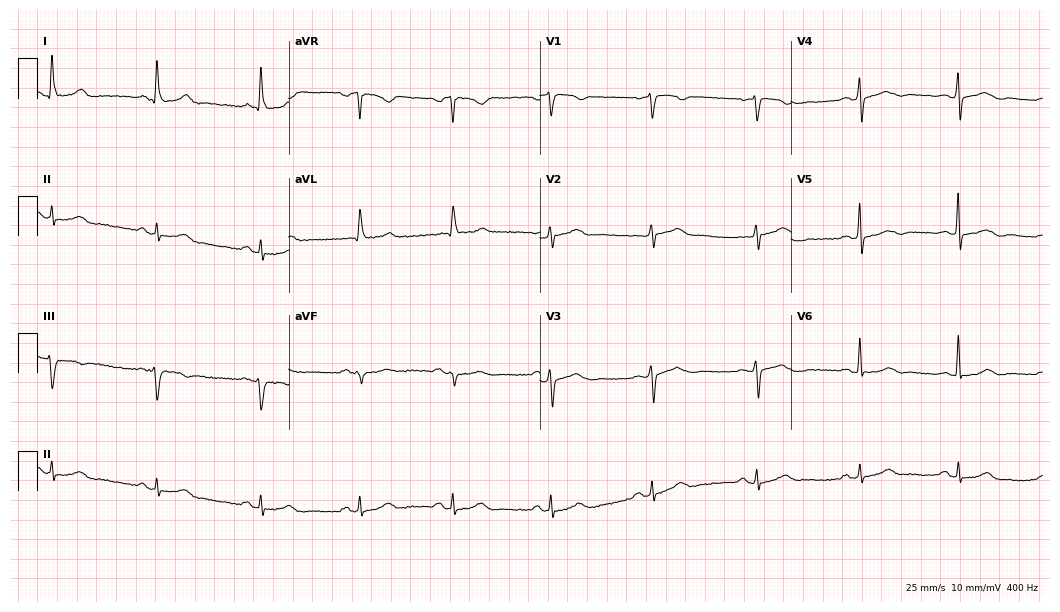
Electrocardiogram, a female patient, 65 years old. Overall reading on record: normal ECG.